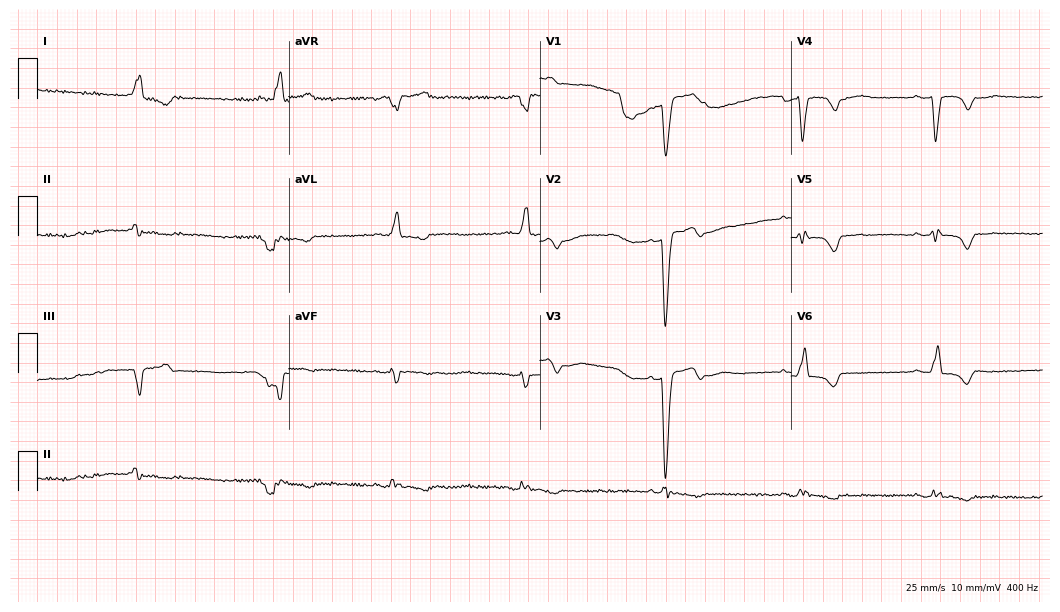
12-lead ECG from a female, 49 years old (10.2-second recording at 400 Hz). No first-degree AV block, right bundle branch block, left bundle branch block, sinus bradycardia, atrial fibrillation or sinus tachycardia recorded for this tracing.